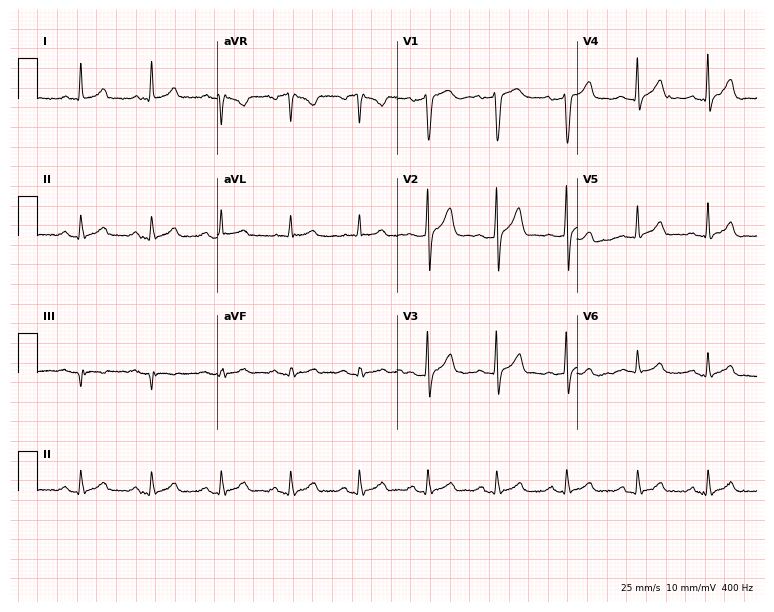
12-lead ECG from a male, 45 years old. No first-degree AV block, right bundle branch block (RBBB), left bundle branch block (LBBB), sinus bradycardia, atrial fibrillation (AF) or sinus tachycardia recorded for this tracing.